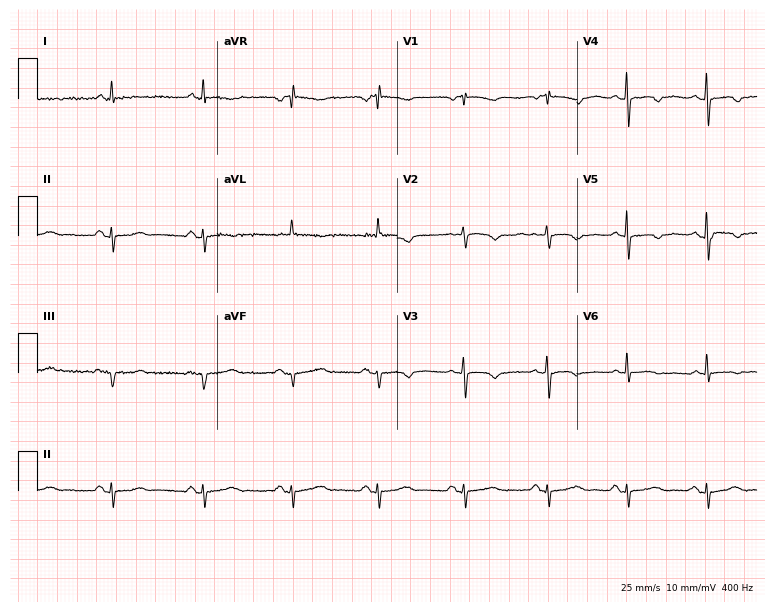
Electrocardiogram (7.3-second recording at 400 Hz), a 70-year-old female. Of the six screened findings (first-degree AV block, right bundle branch block, left bundle branch block, sinus bradycardia, atrial fibrillation, sinus tachycardia), none is recorded.